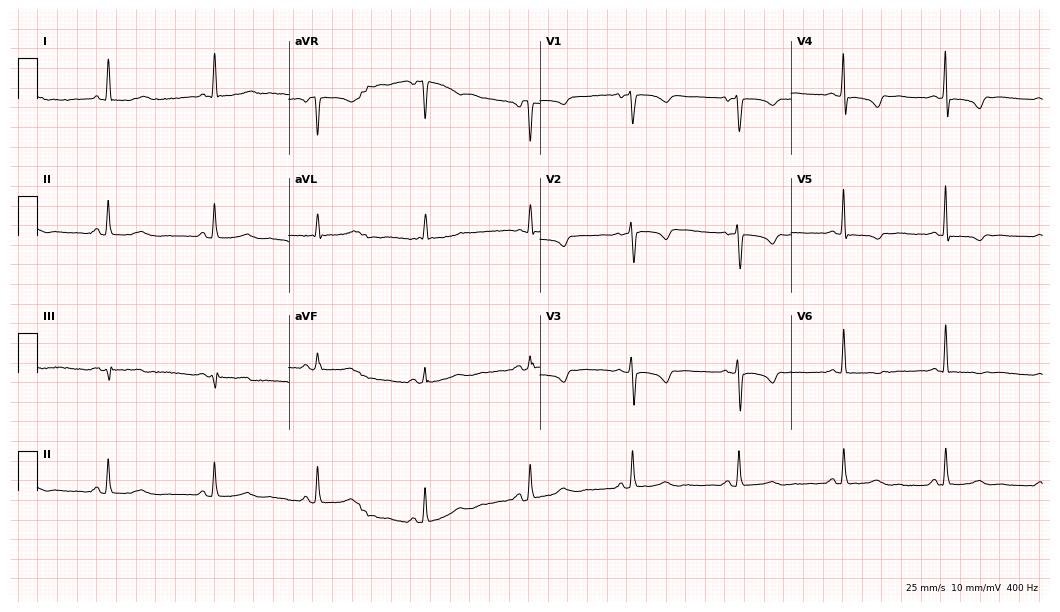
12-lead ECG from a female patient, 66 years old (10.2-second recording at 400 Hz). No first-degree AV block, right bundle branch block, left bundle branch block, sinus bradycardia, atrial fibrillation or sinus tachycardia recorded for this tracing.